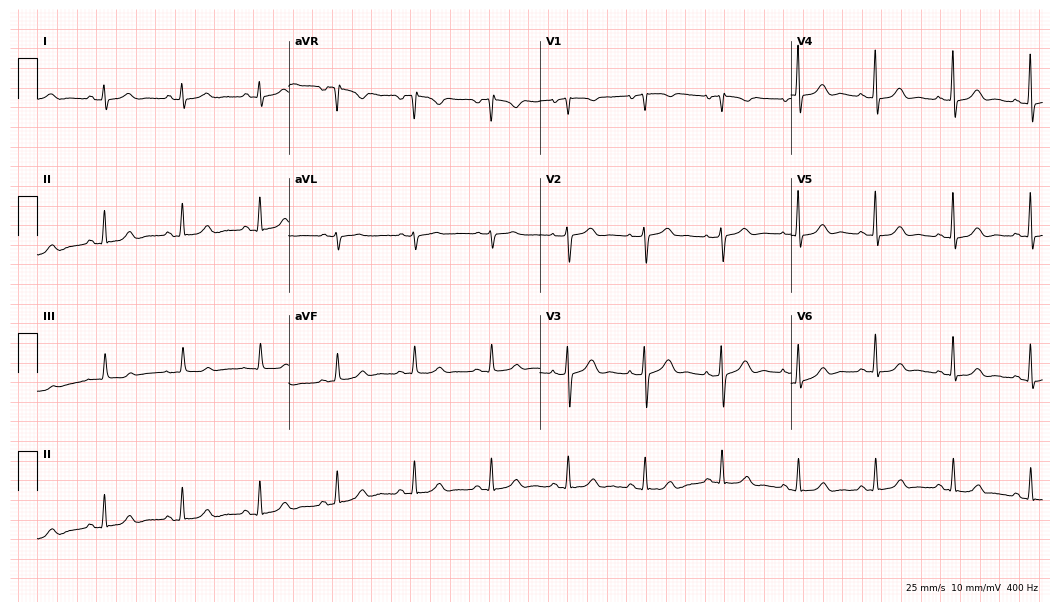
Standard 12-lead ECG recorded from a female patient, 80 years old (10.2-second recording at 400 Hz). None of these six findings is recorded: first-degree AV block, right bundle branch block, left bundle branch block, sinus bradycardia, atrial fibrillation, sinus tachycardia. Only these six findings were labelled.